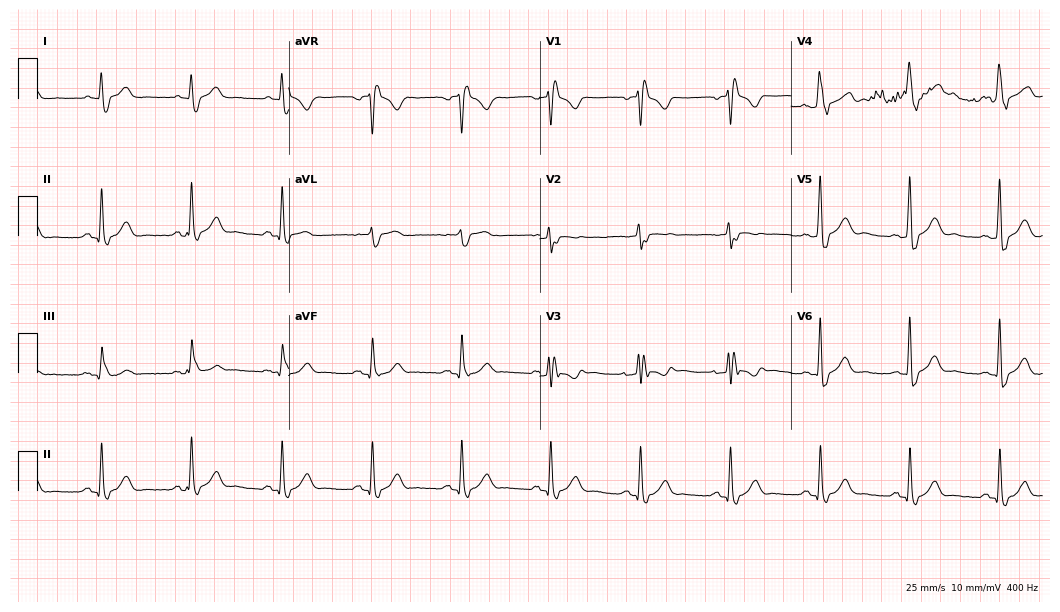
12-lead ECG from a male, 59 years old (10.2-second recording at 400 Hz). Shows right bundle branch block (RBBB).